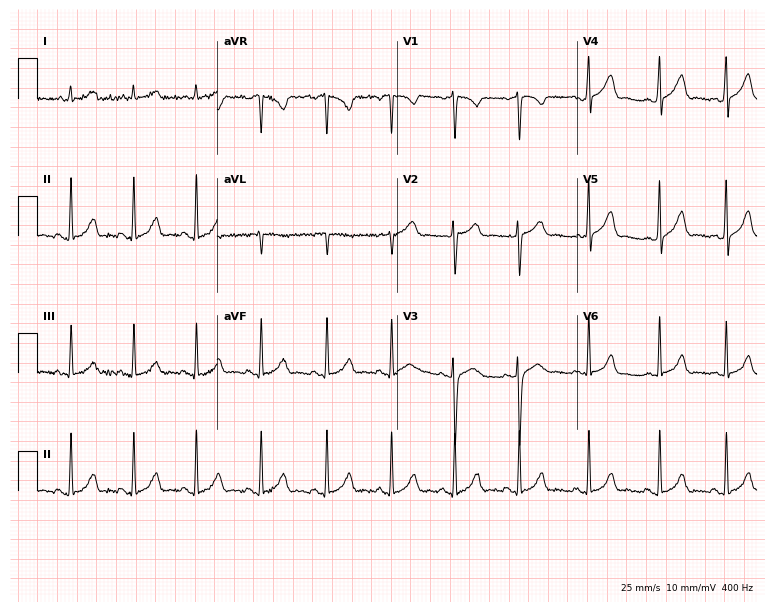
Resting 12-lead electrocardiogram (7.3-second recording at 400 Hz). Patient: a 21-year-old female. Read as a normal ECG.